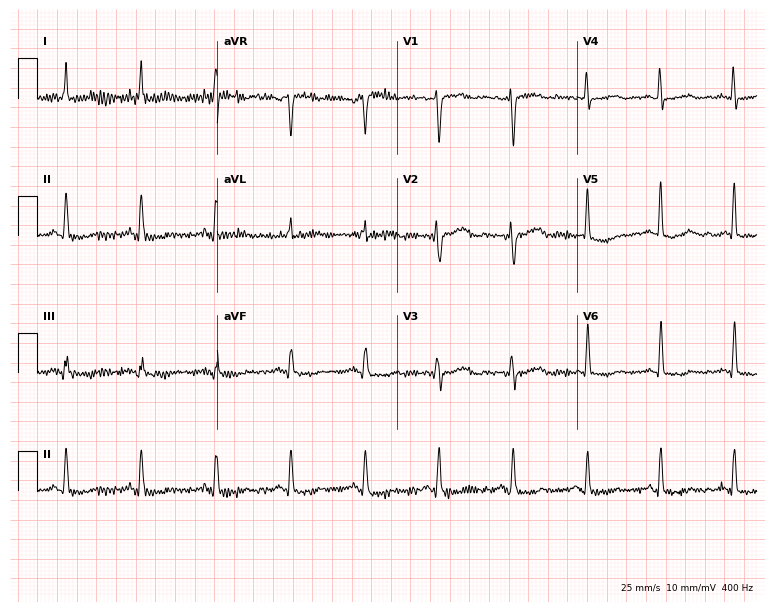
12-lead ECG from a 46-year-old female (7.3-second recording at 400 Hz). No first-degree AV block, right bundle branch block (RBBB), left bundle branch block (LBBB), sinus bradycardia, atrial fibrillation (AF) or sinus tachycardia recorded for this tracing.